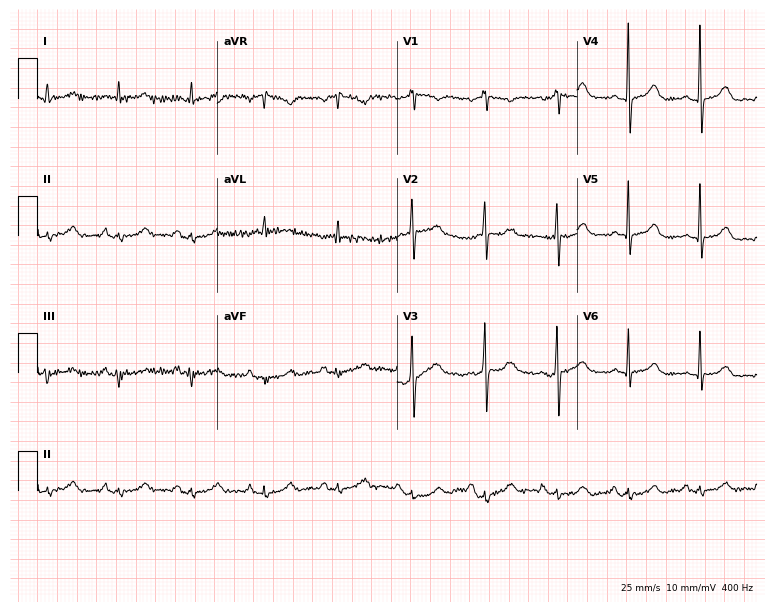
ECG (7.3-second recording at 400 Hz) — a 65-year-old female patient. Screened for six findings — first-degree AV block, right bundle branch block (RBBB), left bundle branch block (LBBB), sinus bradycardia, atrial fibrillation (AF), sinus tachycardia — none is recorded.